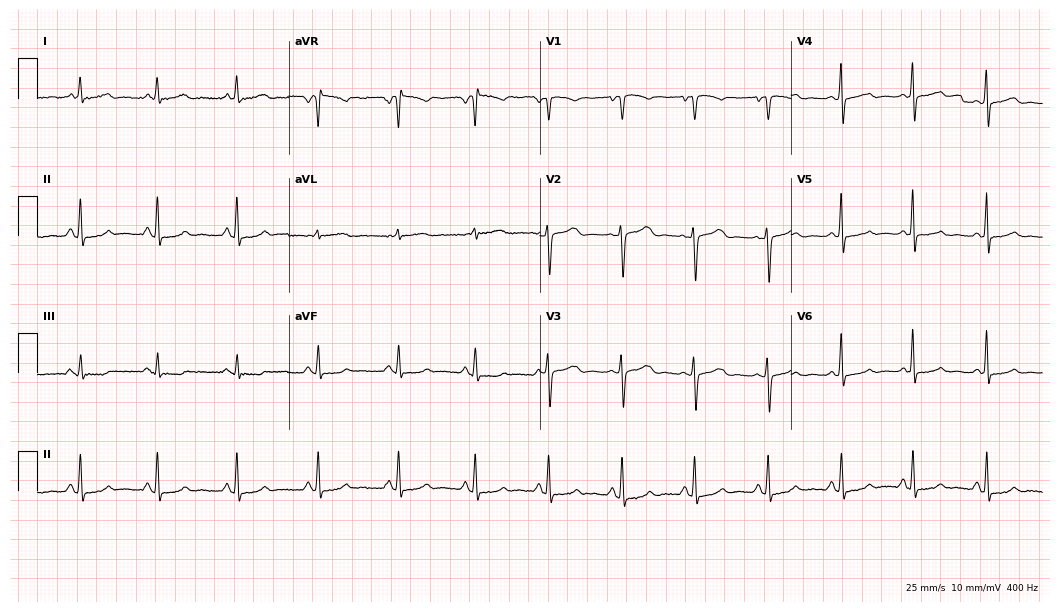
ECG (10.2-second recording at 400 Hz) — a 50-year-old woman. Screened for six findings — first-degree AV block, right bundle branch block, left bundle branch block, sinus bradycardia, atrial fibrillation, sinus tachycardia — none is recorded. Only these six findings were labelled.